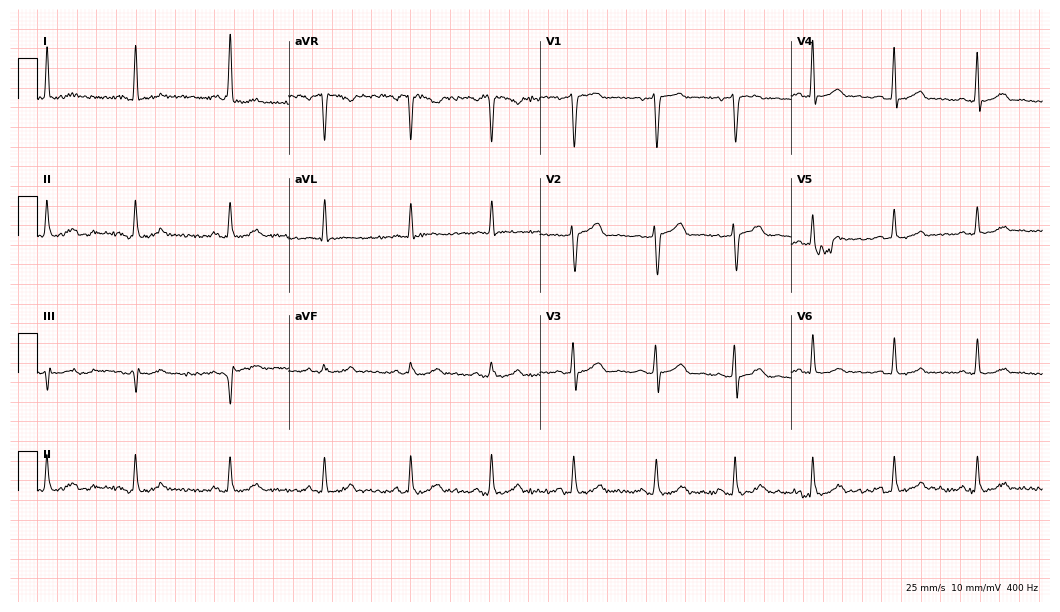
12-lead ECG (10.2-second recording at 400 Hz) from a 40-year-old female patient. Screened for six findings — first-degree AV block, right bundle branch block, left bundle branch block, sinus bradycardia, atrial fibrillation, sinus tachycardia — none is recorded. Only these six findings were labelled.